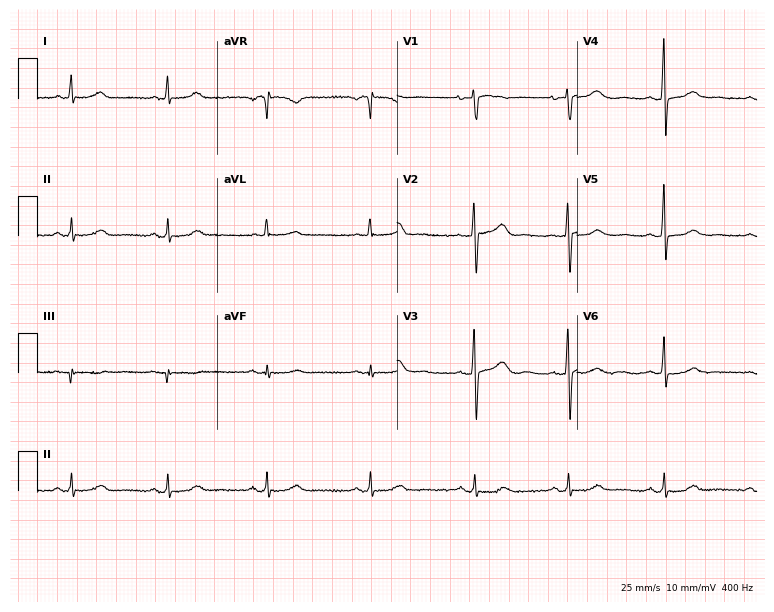
Standard 12-lead ECG recorded from a 46-year-old female patient. Read as a normal ECG.